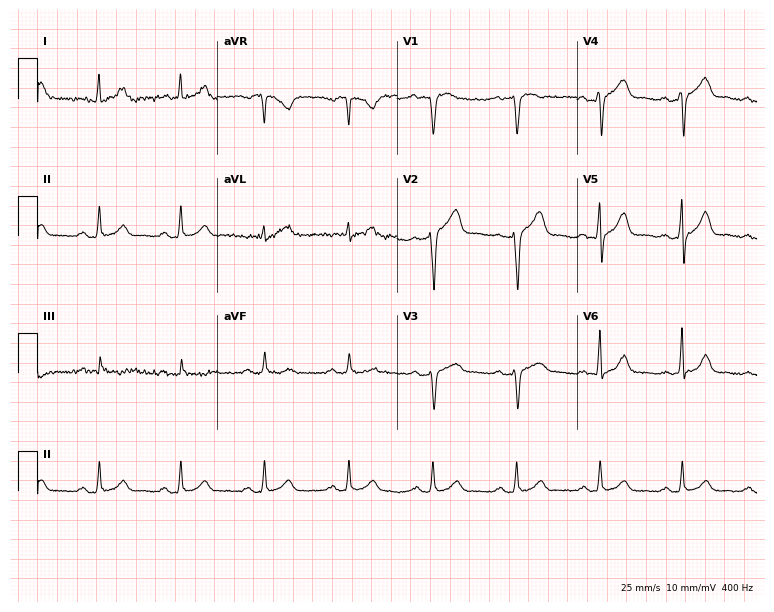
Electrocardiogram, a male, 41 years old. Of the six screened findings (first-degree AV block, right bundle branch block (RBBB), left bundle branch block (LBBB), sinus bradycardia, atrial fibrillation (AF), sinus tachycardia), none is recorded.